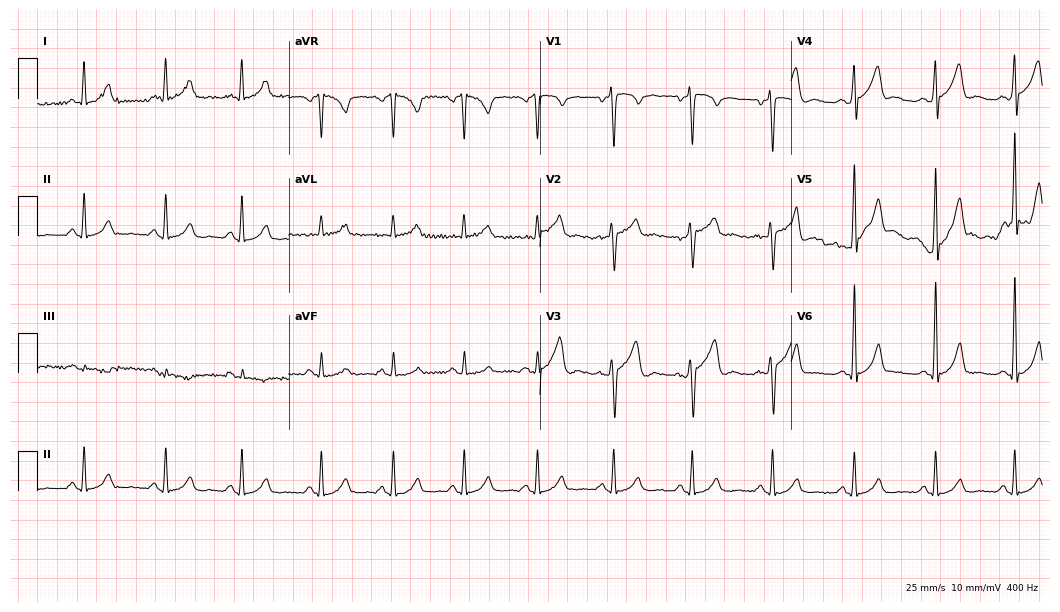
12-lead ECG from a 38-year-old man. Recorded interpretation: within normal limits.